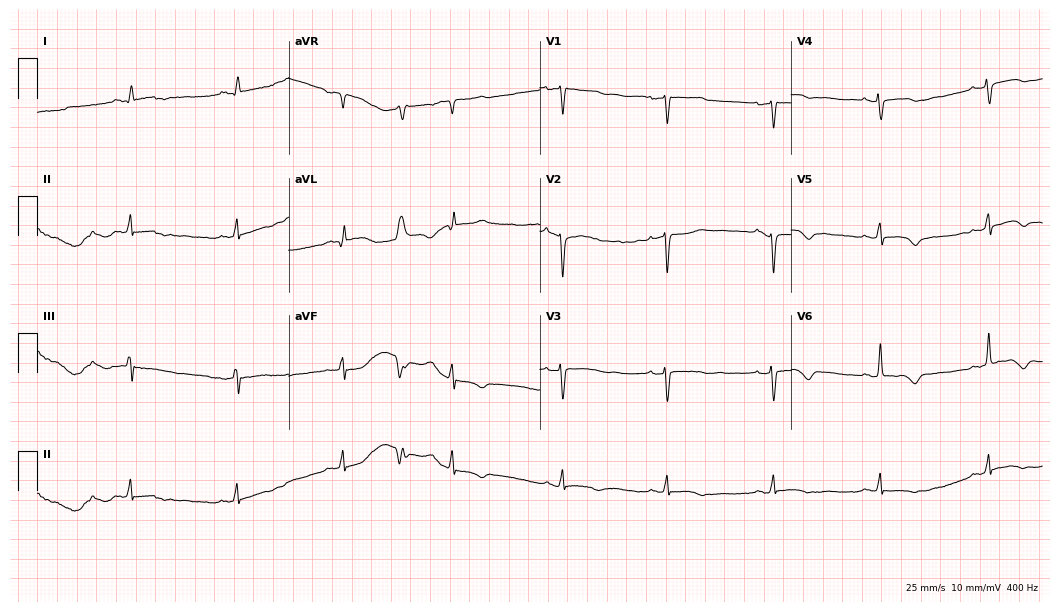
Resting 12-lead electrocardiogram (10.2-second recording at 400 Hz). Patient: a female, 55 years old. None of these six findings is recorded: first-degree AV block, right bundle branch block, left bundle branch block, sinus bradycardia, atrial fibrillation, sinus tachycardia. Only these six findings were labelled.